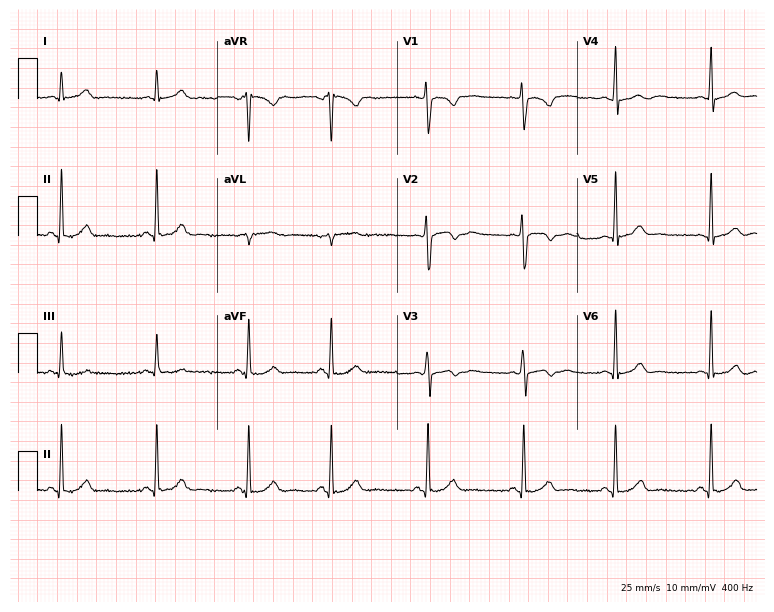
Standard 12-lead ECG recorded from a female, 35 years old (7.3-second recording at 400 Hz). Read as a normal ECG.